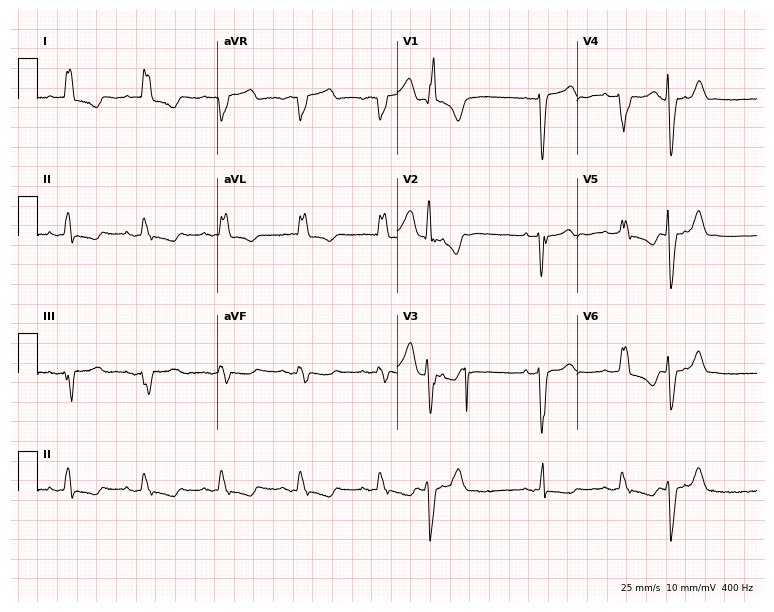
12-lead ECG from a 75-year-old female patient. Shows atrial fibrillation.